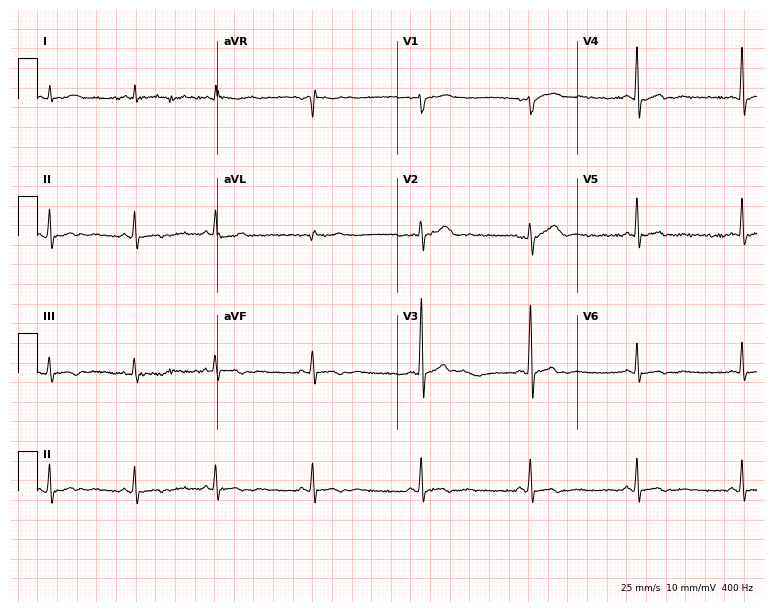
12-lead ECG from a 40-year-old woman. Screened for six findings — first-degree AV block, right bundle branch block, left bundle branch block, sinus bradycardia, atrial fibrillation, sinus tachycardia — none is recorded.